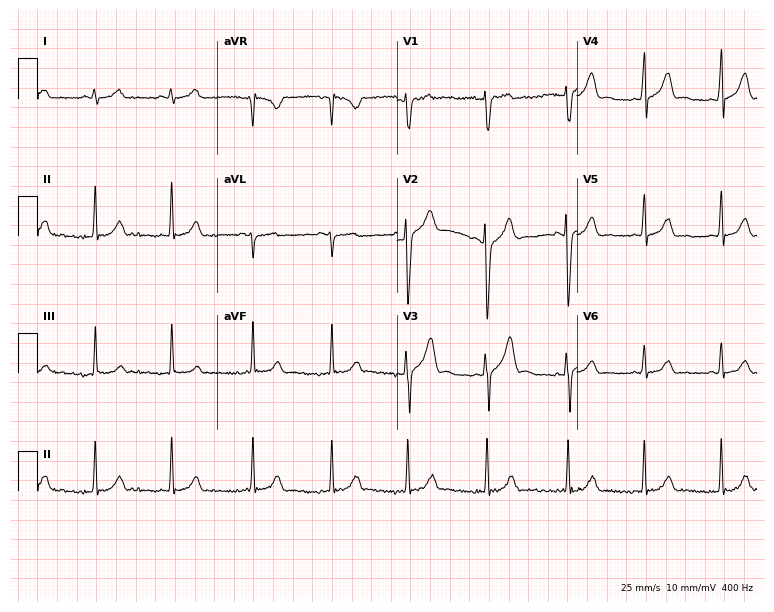
12-lead ECG (7.3-second recording at 400 Hz) from a 27-year-old male patient. Labelled as a normal ECG.